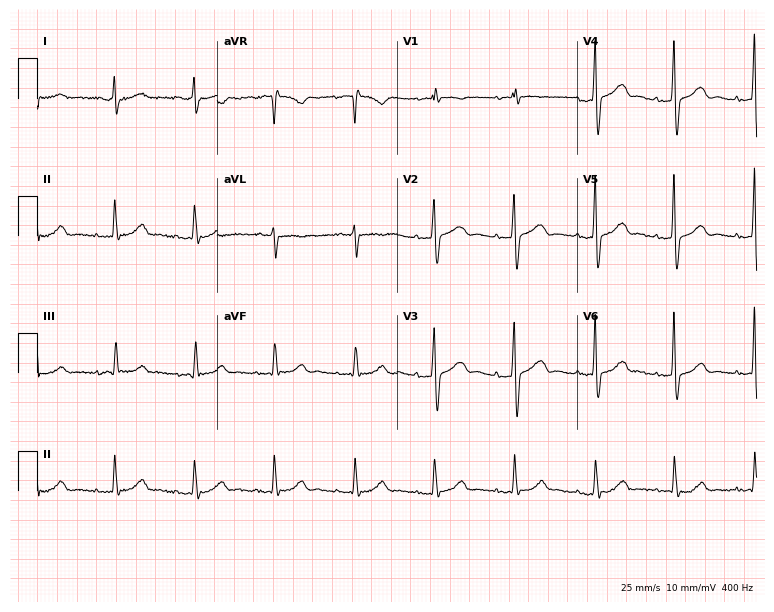
Electrocardiogram (7.3-second recording at 400 Hz), an 80-year-old man. Overall reading on record: normal ECG.